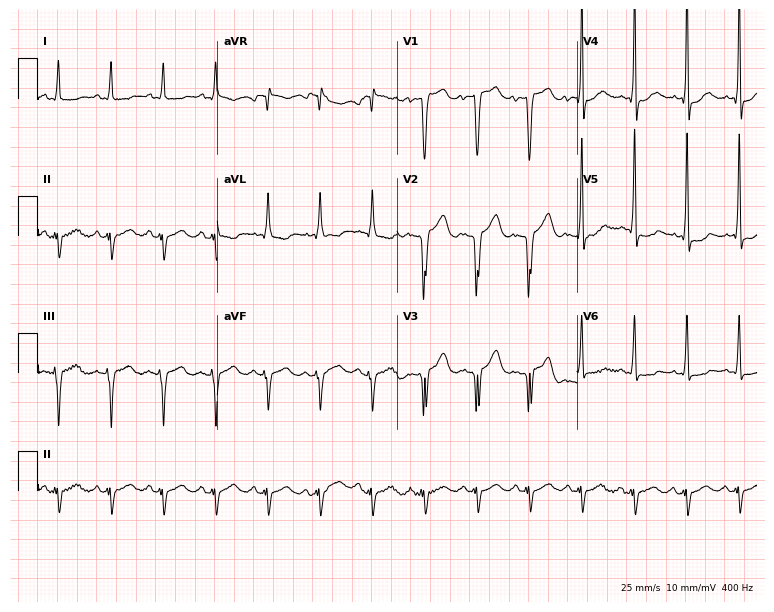
Standard 12-lead ECG recorded from a 79-year-old male (7.3-second recording at 400 Hz). None of these six findings is recorded: first-degree AV block, right bundle branch block, left bundle branch block, sinus bradycardia, atrial fibrillation, sinus tachycardia. Other findings, if any, are not listed.